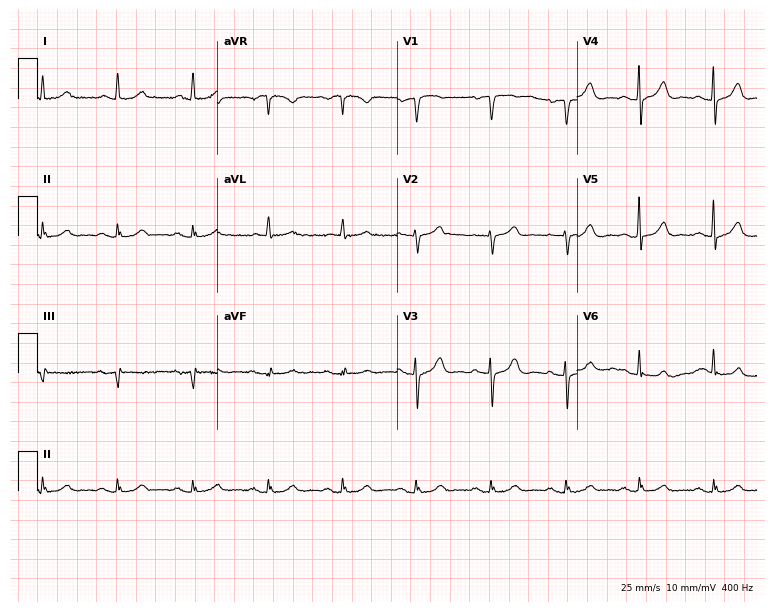
Electrocardiogram (7.3-second recording at 400 Hz), an 80-year-old man. Overall reading on record: normal ECG.